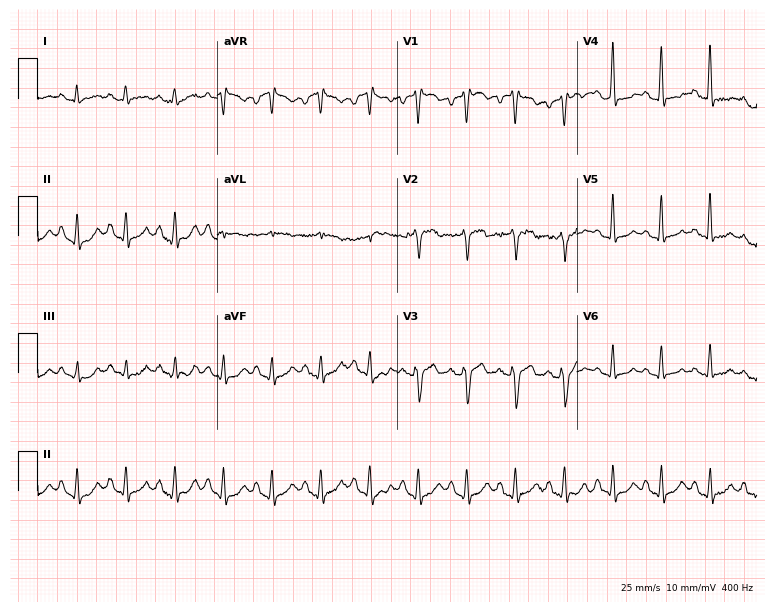
Standard 12-lead ECG recorded from a man, 68 years old (7.3-second recording at 400 Hz). The tracing shows sinus tachycardia (a sinus rate of 100 beats per minute or more).